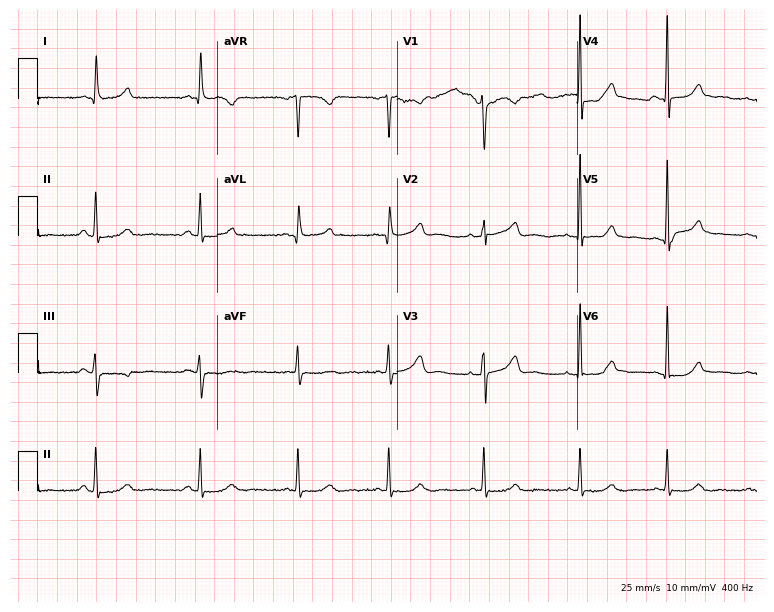
Standard 12-lead ECG recorded from a 42-year-old woman. Read as a normal ECG.